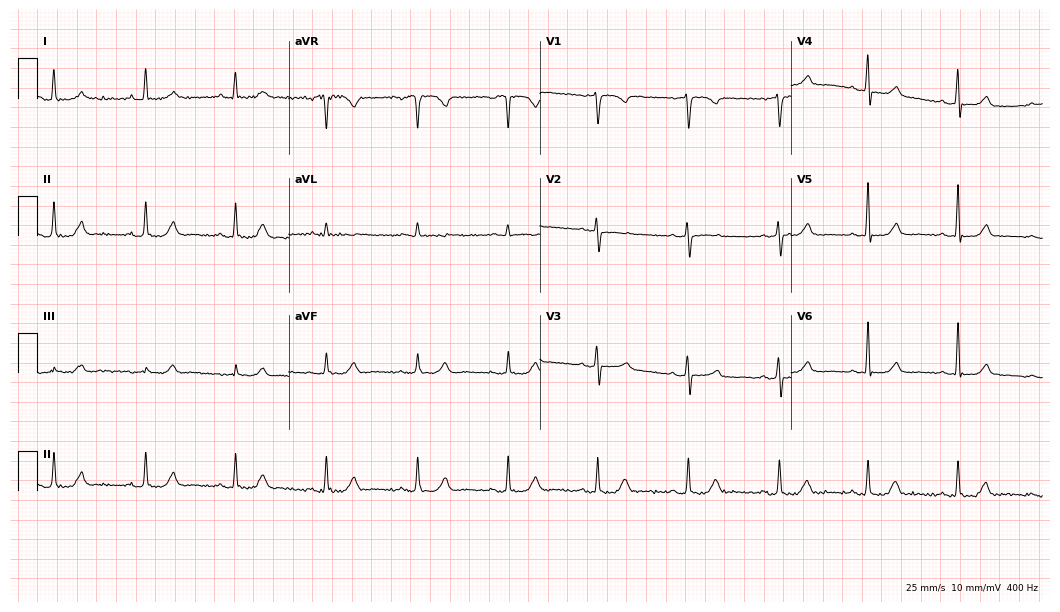
12-lead ECG from a female patient, 57 years old. Recorded interpretation: within normal limits.